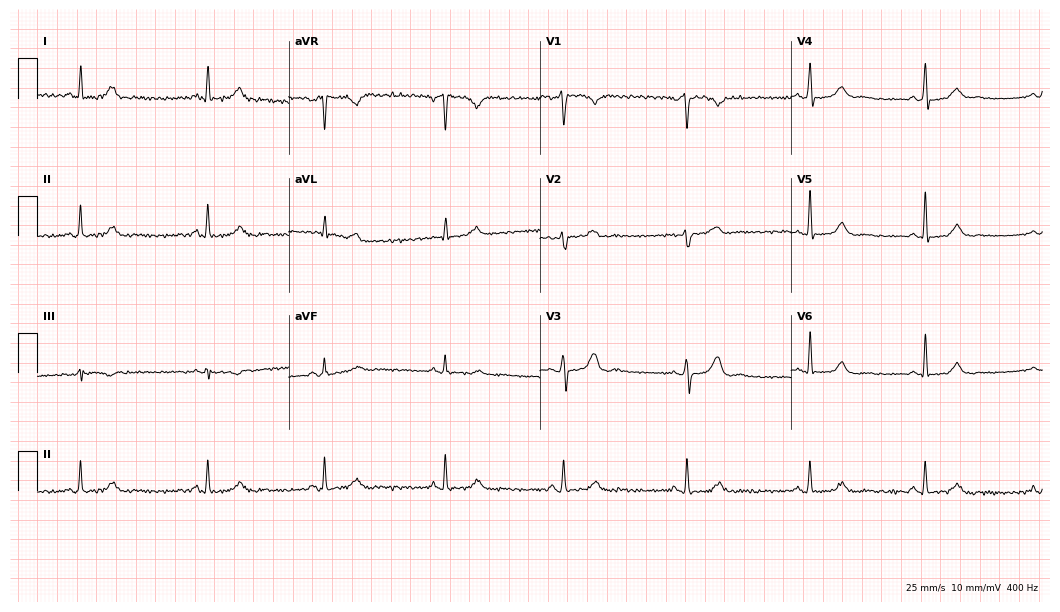
12-lead ECG from a woman, 42 years old. No first-degree AV block, right bundle branch block, left bundle branch block, sinus bradycardia, atrial fibrillation or sinus tachycardia recorded for this tracing. Other findings, if any, are not listed.